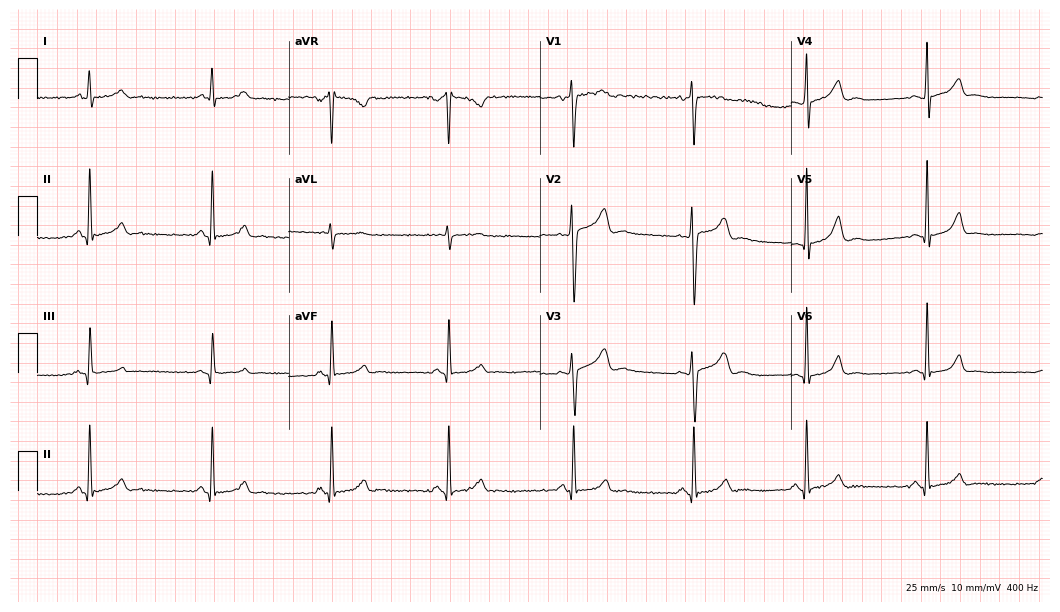
12-lead ECG from a female, 36 years old (10.2-second recording at 400 Hz). Recorded interpretation: within normal limits.